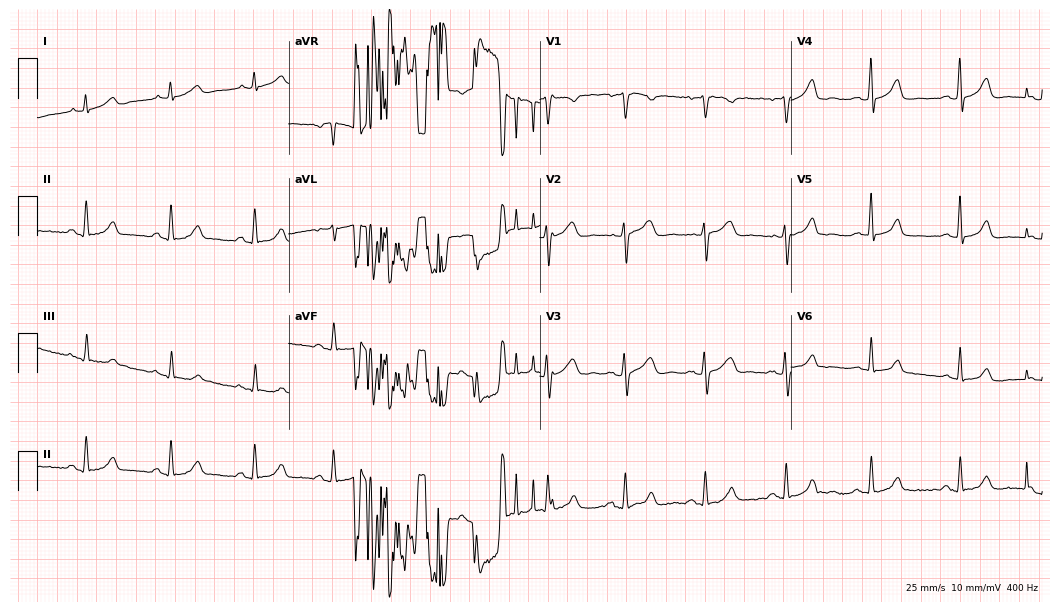
Standard 12-lead ECG recorded from a 35-year-old female patient (10.2-second recording at 400 Hz). None of these six findings is recorded: first-degree AV block, right bundle branch block (RBBB), left bundle branch block (LBBB), sinus bradycardia, atrial fibrillation (AF), sinus tachycardia. Findings outside these six are not listed.